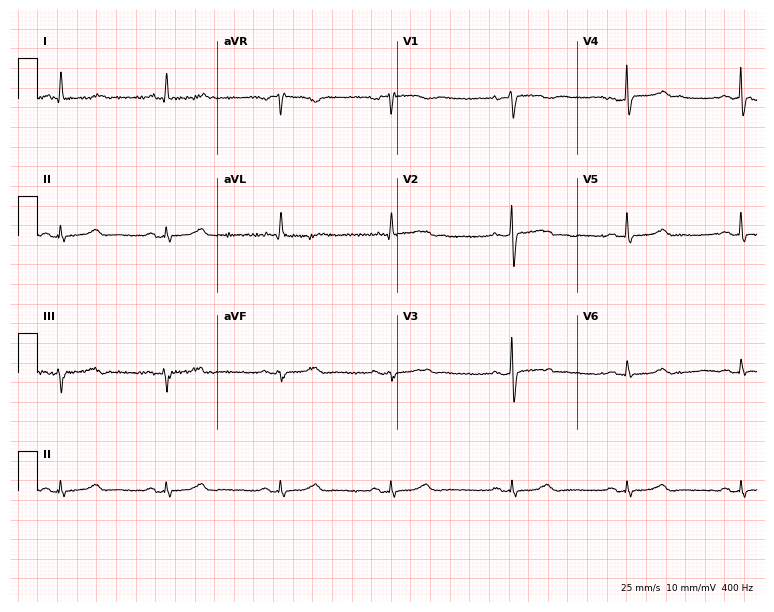
Standard 12-lead ECG recorded from a 60-year-old woman. None of these six findings is recorded: first-degree AV block, right bundle branch block, left bundle branch block, sinus bradycardia, atrial fibrillation, sinus tachycardia. Only these six findings were labelled.